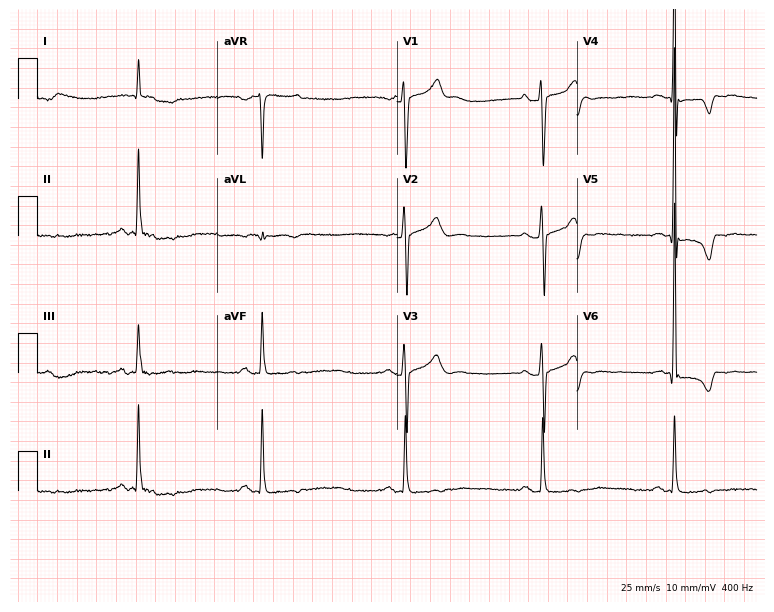
ECG (7.3-second recording at 400 Hz) — a 64-year-old man. Findings include sinus bradycardia (a sinus rate of 50 beats per minute or less).